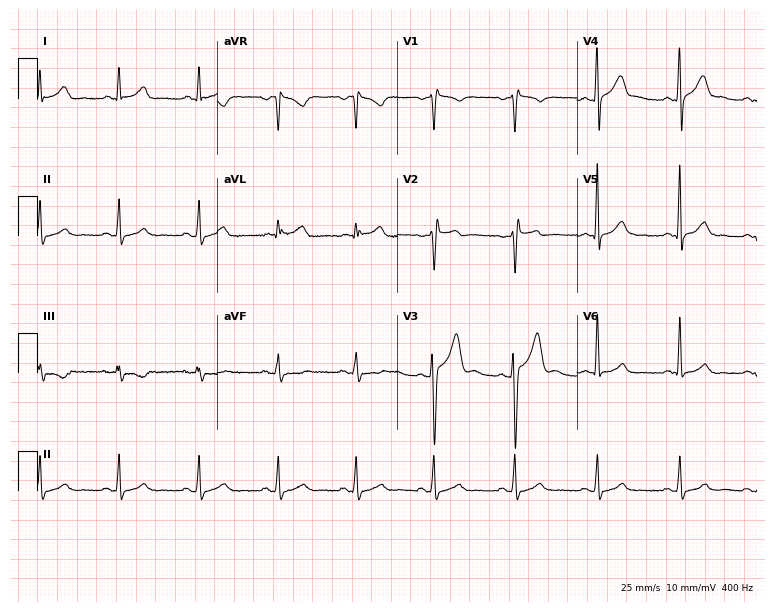
Electrocardiogram, a man, 37 years old. Of the six screened findings (first-degree AV block, right bundle branch block, left bundle branch block, sinus bradycardia, atrial fibrillation, sinus tachycardia), none is recorded.